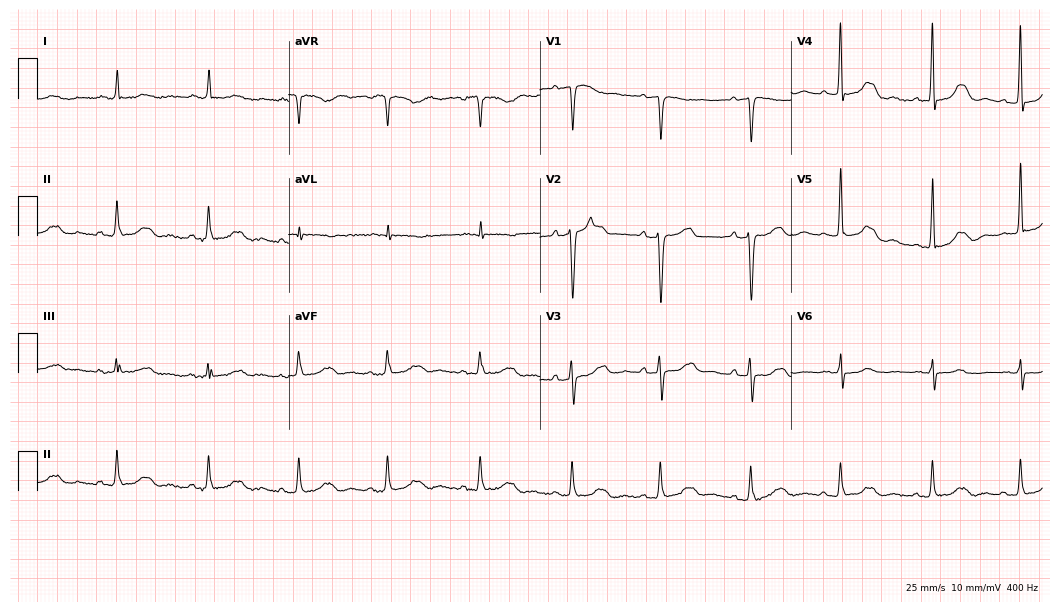
Resting 12-lead electrocardiogram. Patient: an 83-year-old woman. Read as a normal ECG.